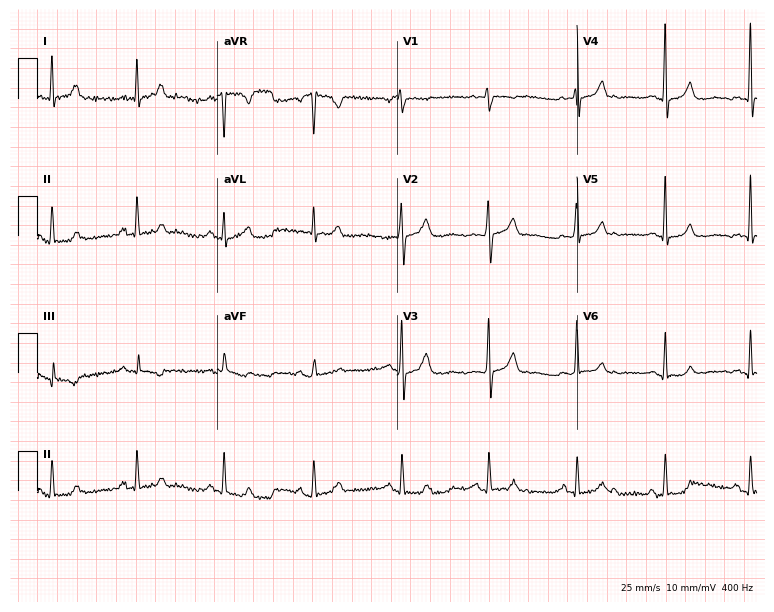
12-lead ECG from a woman, 59 years old (7.3-second recording at 400 Hz). No first-degree AV block, right bundle branch block, left bundle branch block, sinus bradycardia, atrial fibrillation or sinus tachycardia recorded for this tracing. Only these six findings were labelled.